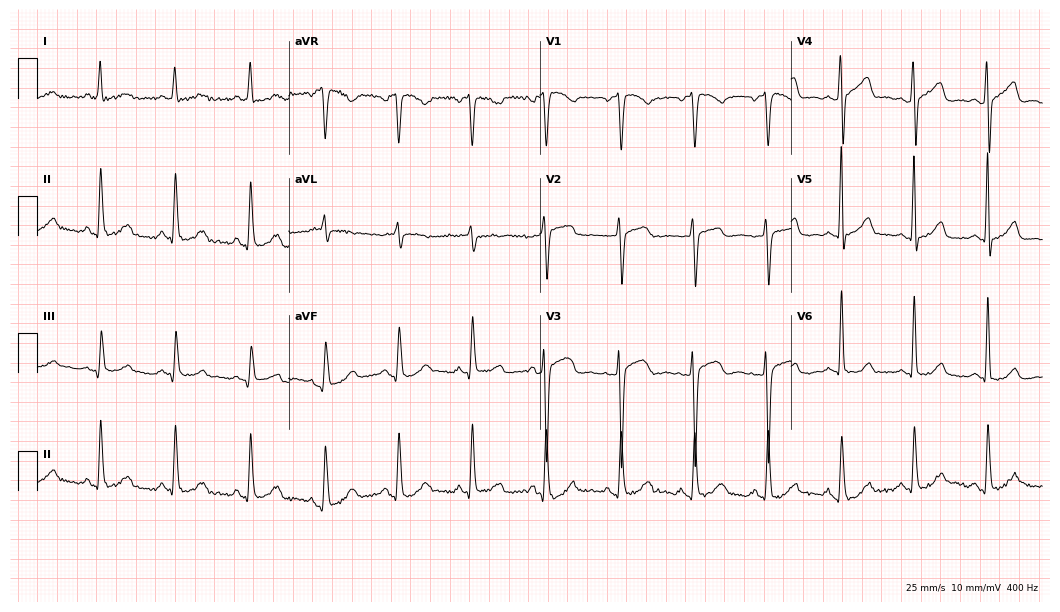
Electrocardiogram (10.2-second recording at 400 Hz), a 54-year-old female. Of the six screened findings (first-degree AV block, right bundle branch block, left bundle branch block, sinus bradycardia, atrial fibrillation, sinus tachycardia), none is recorded.